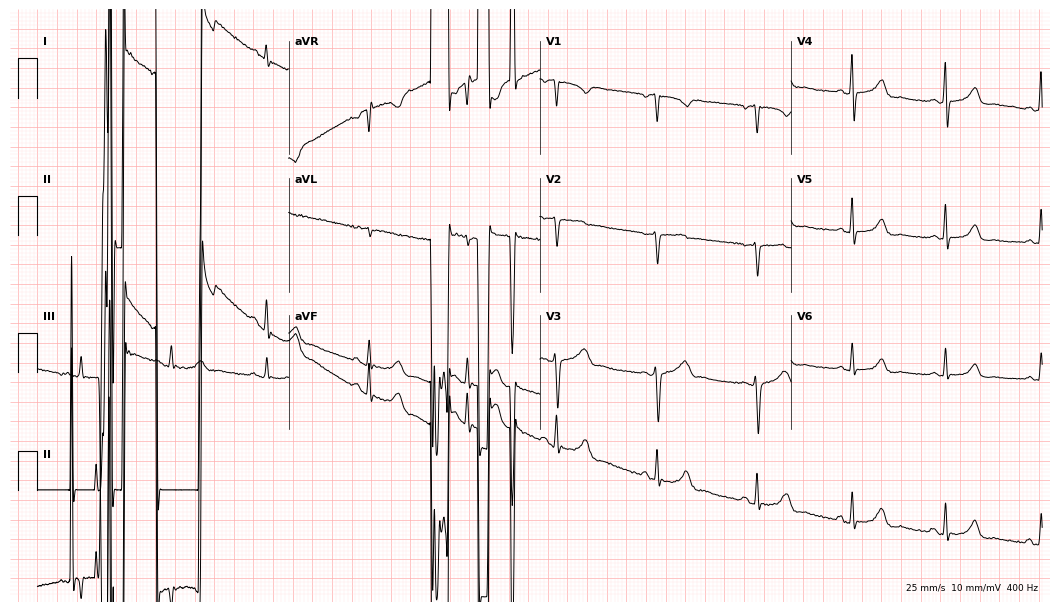
Standard 12-lead ECG recorded from a 46-year-old female patient (10.2-second recording at 400 Hz). None of these six findings is recorded: first-degree AV block, right bundle branch block (RBBB), left bundle branch block (LBBB), sinus bradycardia, atrial fibrillation (AF), sinus tachycardia. Other findings, if any, are not listed.